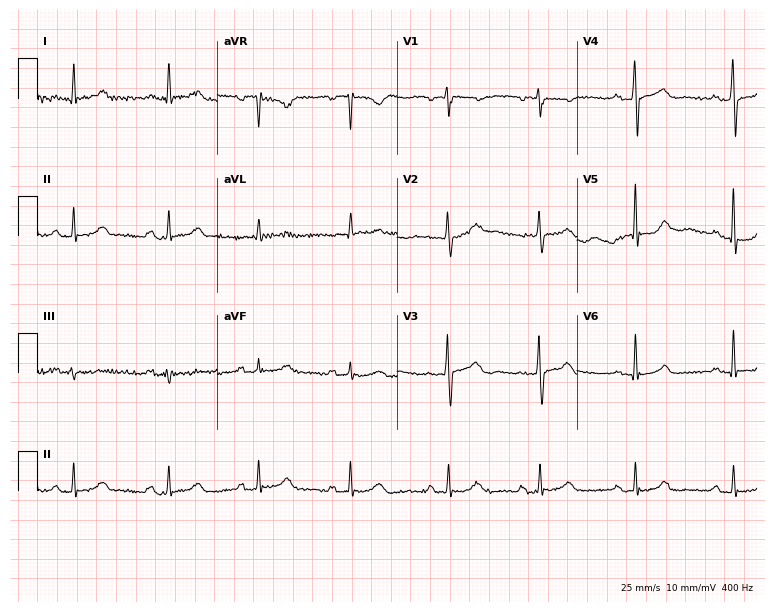
12-lead ECG (7.3-second recording at 400 Hz) from a female patient, 79 years old. Screened for six findings — first-degree AV block, right bundle branch block, left bundle branch block, sinus bradycardia, atrial fibrillation, sinus tachycardia — none is recorded.